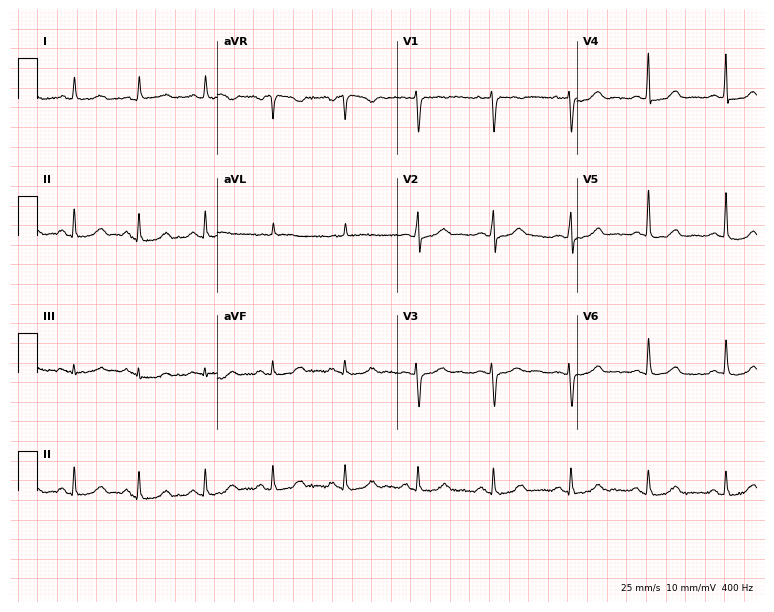
ECG — a woman, 60 years old. Labelled as a normal ECG.